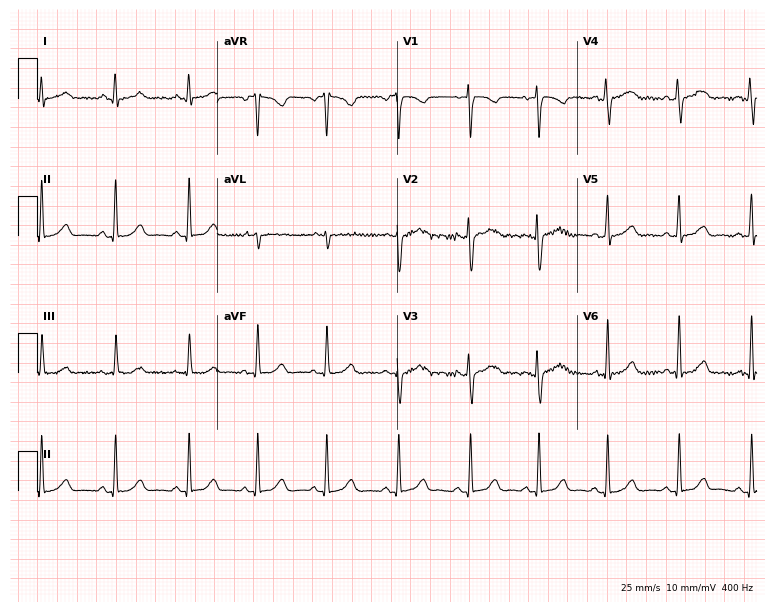
12-lead ECG (7.3-second recording at 400 Hz) from a 23-year-old female. Labelled as a normal ECG.